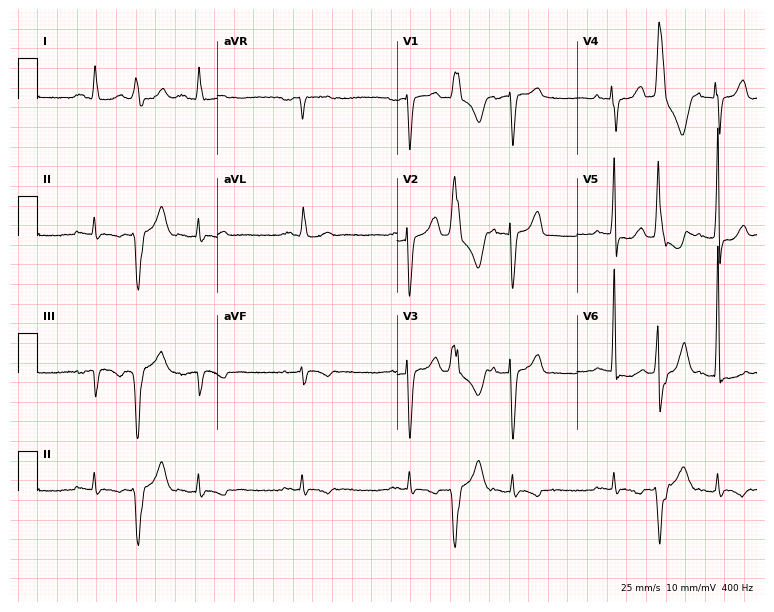
12-lead ECG from a male, 57 years old (7.3-second recording at 400 Hz). No first-degree AV block, right bundle branch block (RBBB), left bundle branch block (LBBB), sinus bradycardia, atrial fibrillation (AF) or sinus tachycardia recorded for this tracing.